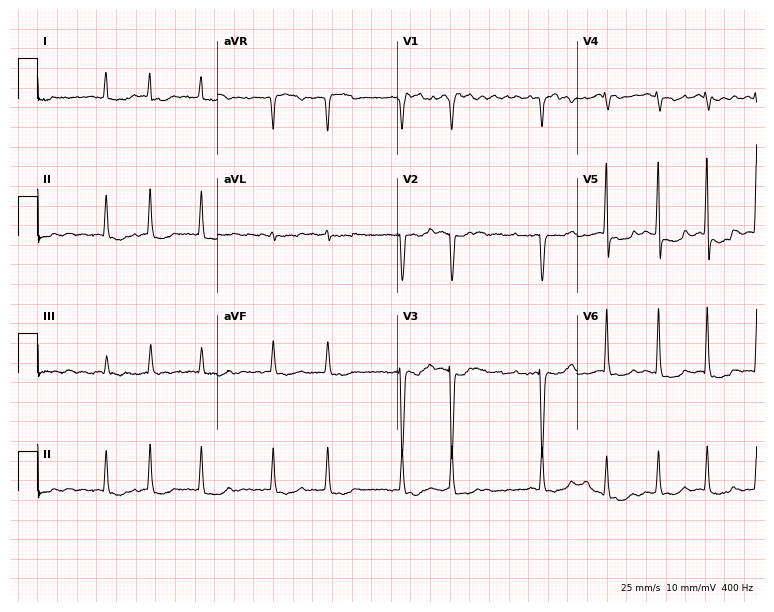
Resting 12-lead electrocardiogram. Patient: a 62-year-old woman. The tracing shows atrial fibrillation (AF).